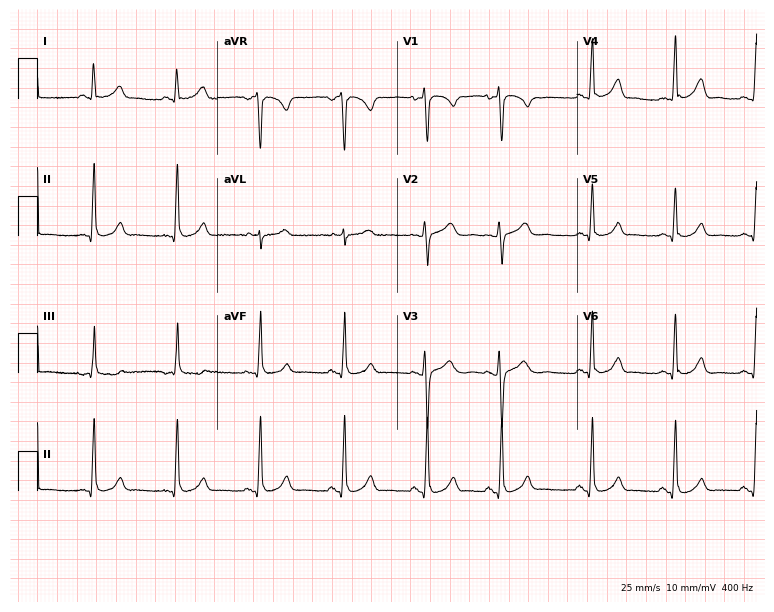
ECG (7.3-second recording at 400 Hz) — a 37-year-old female patient. Screened for six findings — first-degree AV block, right bundle branch block, left bundle branch block, sinus bradycardia, atrial fibrillation, sinus tachycardia — none is recorded.